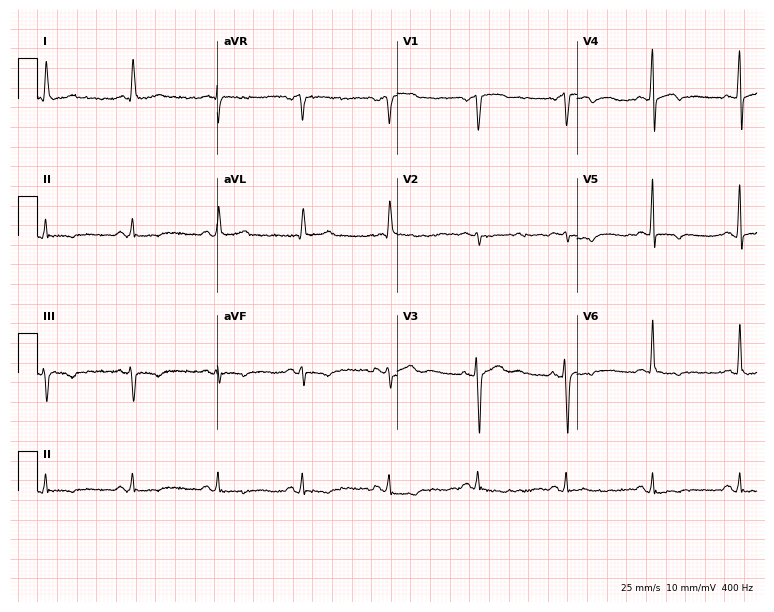
Standard 12-lead ECG recorded from a 62-year-old male (7.3-second recording at 400 Hz). None of these six findings is recorded: first-degree AV block, right bundle branch block, left bundle branch block, sinus bradycardia, atrial fibrillation, sinus tachycardia. Only these six findings were labelled.